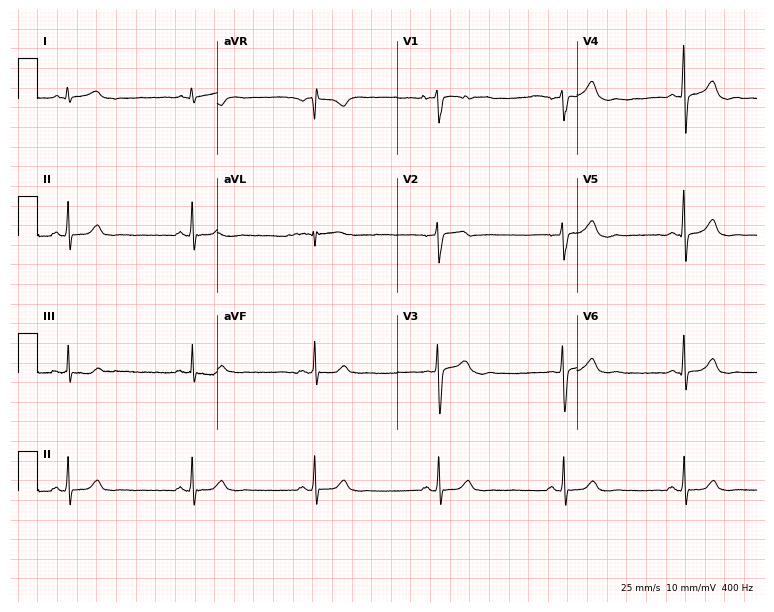
ECG (7.3-second recording at 400 Hz) — a man, 46 years old. Labelled as a normal ECG.